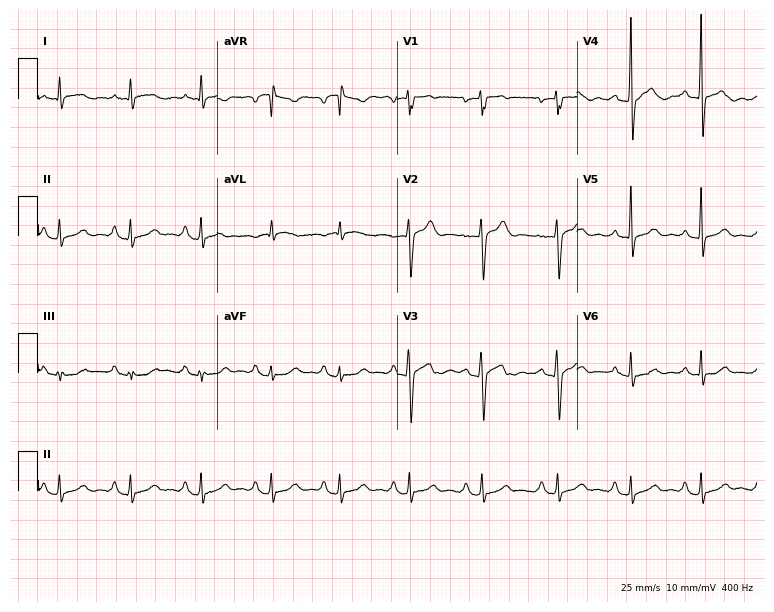
ECG (7.3-second recording at 400 Hz) — a 50-year-old male patient. Screened for six findings — first-degree AV block, right bundle branch block, left bundle branch block, sinus bradycardia, atrial fibrillation, sinus tachycardia — none is recorded. Findings outside these six are not listed.